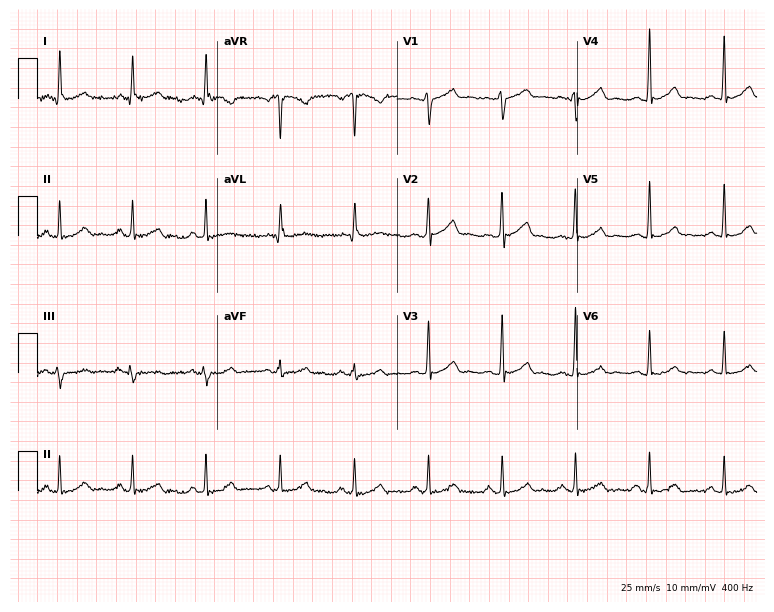
12-lead ECG from a 44-year-old man. Labelled as a normal ECG.